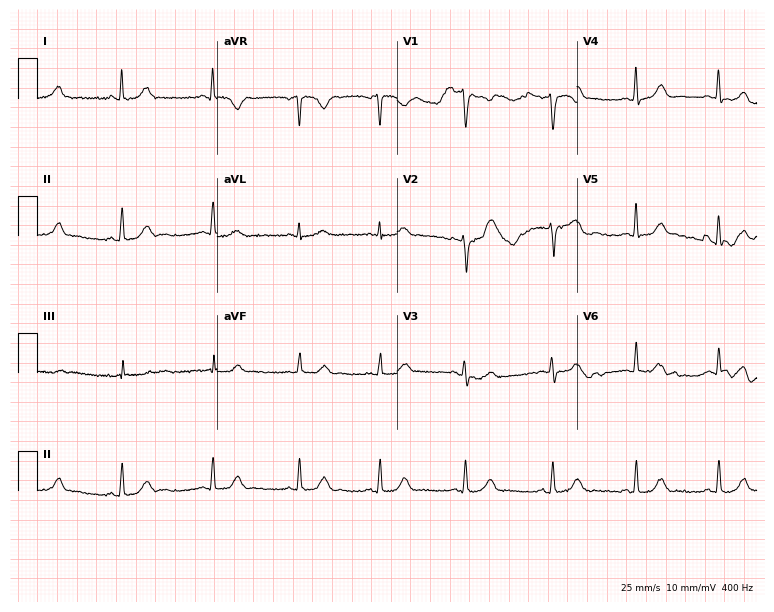
12-lead ECG from a 29-year-old female patient (7.3-second recording at 400 Hz). No first-degree AV block, right bundle branch block, left bundle branch block, sinus bradycardia, atrial fibrillation or sinus tachycardia recorded for this tracing. Only these six findings were labelled.